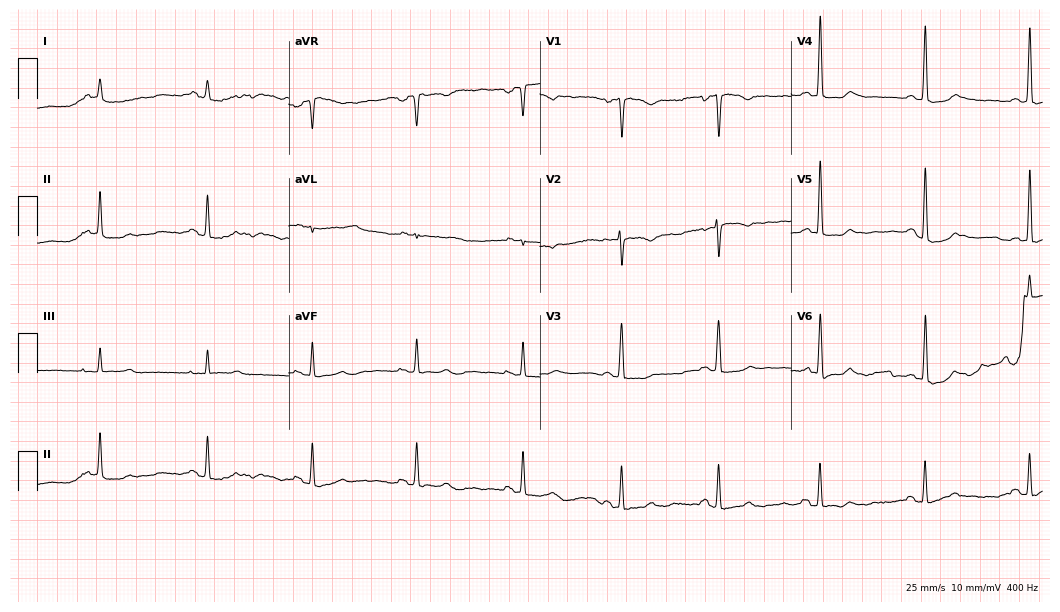
ECG (10.2-second recording at 400 Hz) — a 38-year-old female patient. Screened for six findings — first-degree AV block, right bundle branch block, left bundle branch block, sinus bradycardia, atrial fibrillation, sinus tachycardia — none is recorded.